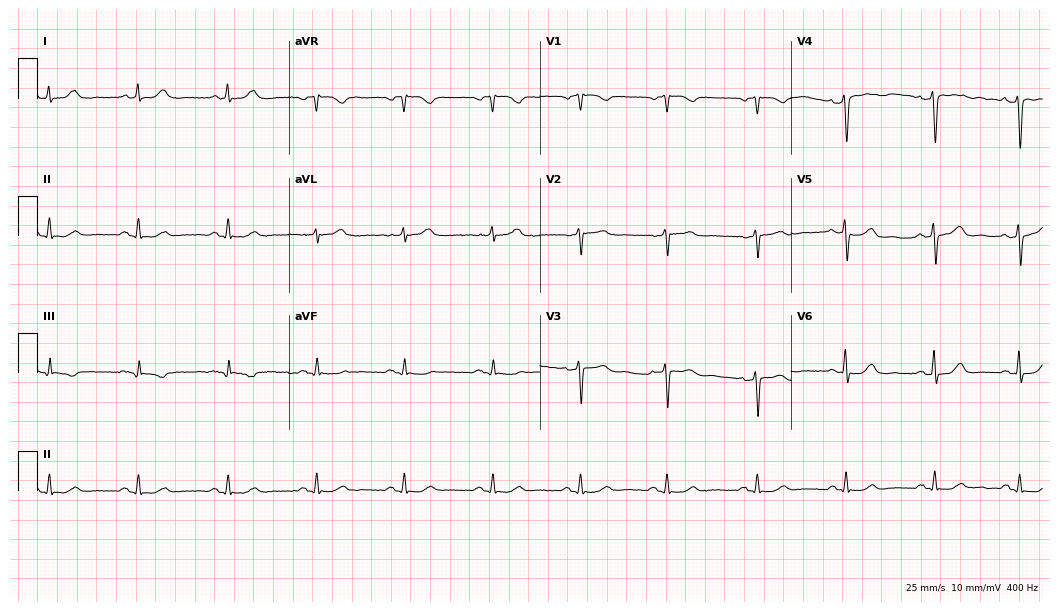
12-lead ECG from a woman, 51 years old (10.2-second recording at 400 Hz). No first-degree AV block, right bundle branch block (RBBB), left bundle branch block (LBBB), sinus bradycardia, atrial fibrillation (AF) or sinus tachycardia recorded for this tracing.